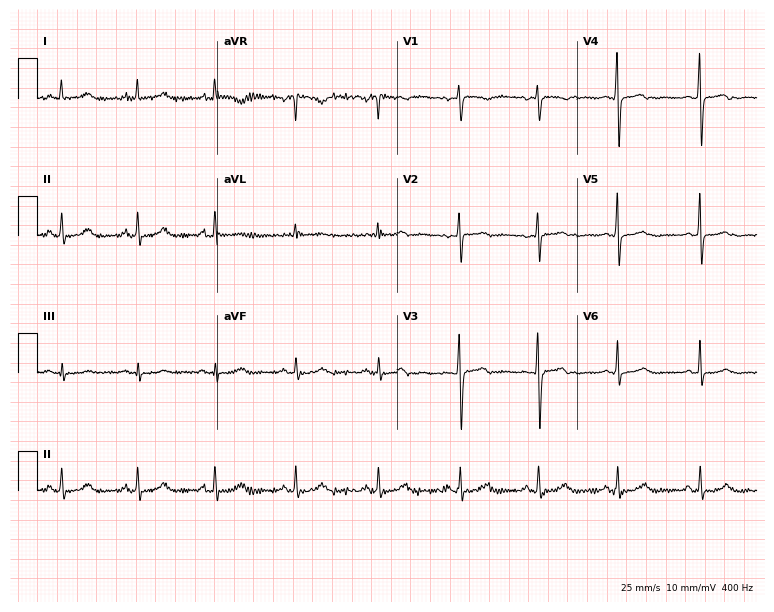
12-lead ECG (7.3-second recording at 400 Hz) from a 28-year-old female patient. Screened for six findings — first-degree AV block, right bundle branch block, left bundle branch block, sinus bradycardia, atrial fibrillation, sinus tachycardia — none is recorded.